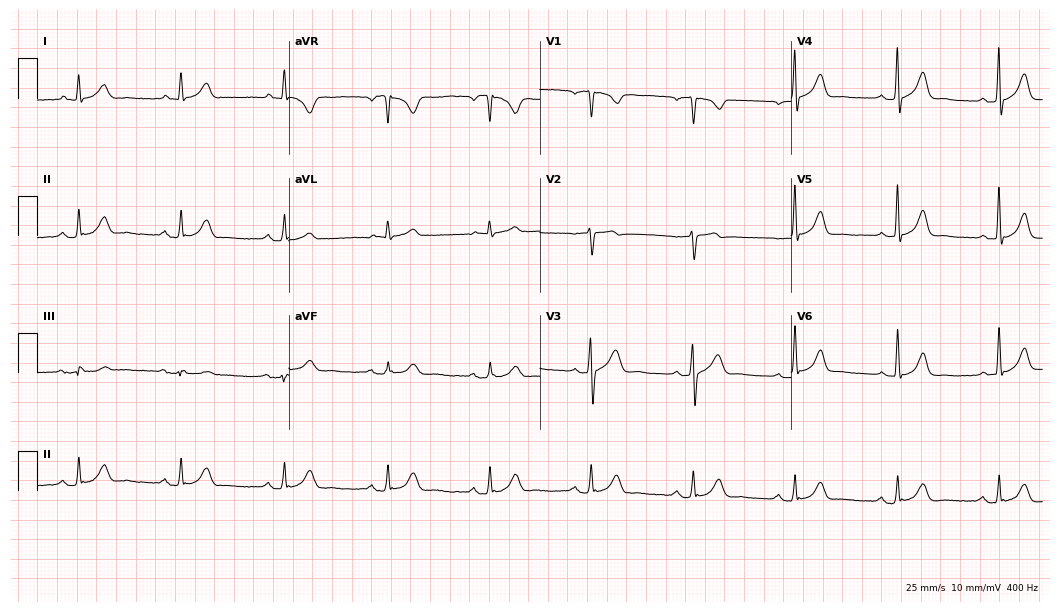
12-lead ECG from a male, 60 years old. Screened for six findings — first-degree AV block, right bundle branch block, left bundle branch block, sinus bradycardia, atrial fibrillation, sinus tachycardia — none is recorded. Findings outside these six are not listed.